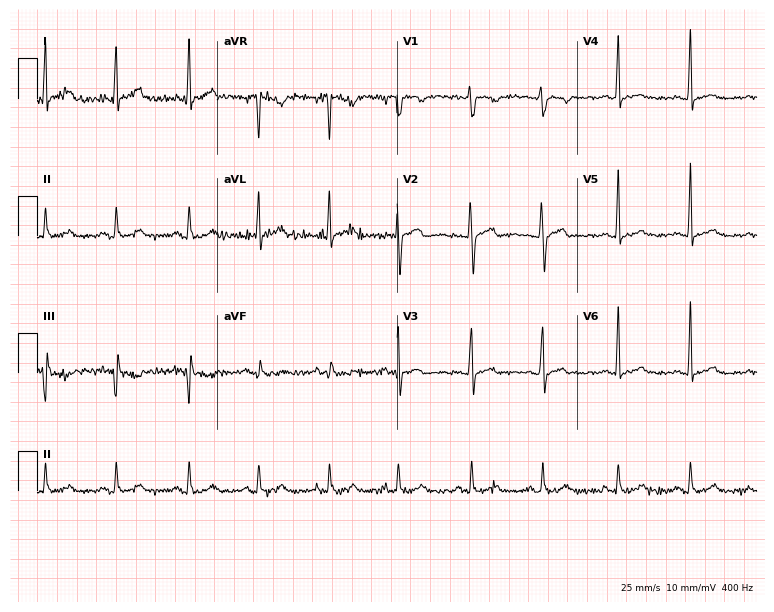
Electrocardiogram, a 35-year-old woman. Of the six screened findings (first-degree AV block, right bundle branch block, left bundle branch block, sinus bradycardia, atrial fibrillation, sinus tachycardia), none is recorded. Findings outside these six are not listed.